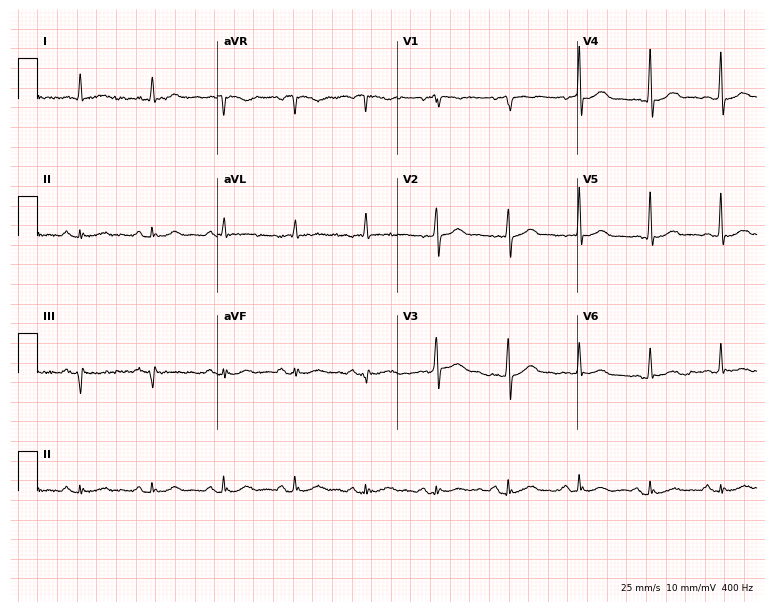
Electrocardiogram, a 78-year-old male patient. Overall reading on record: normal ECG.